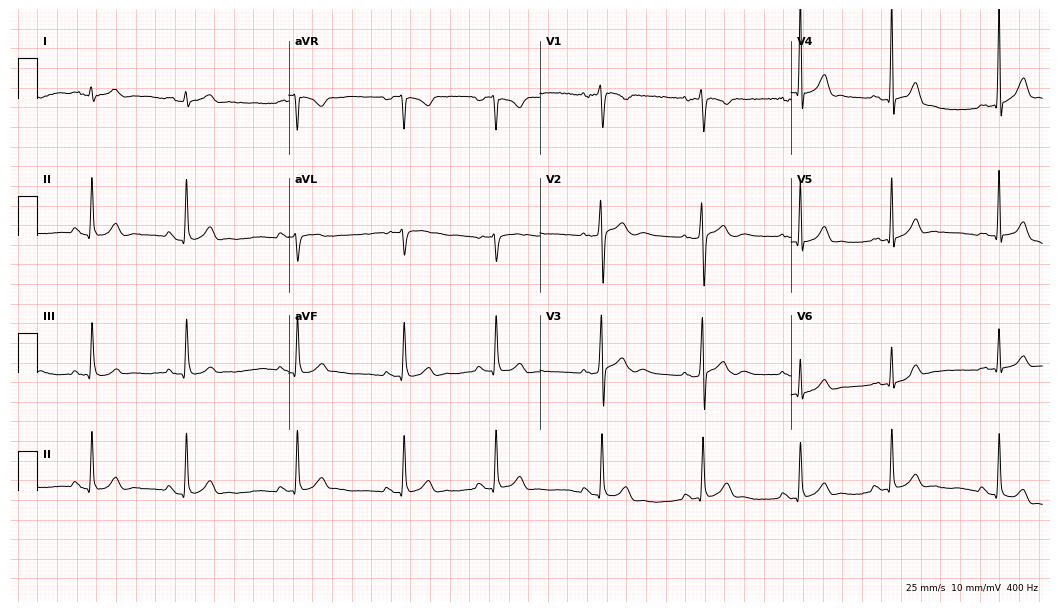
Standard 12-lead ECG recorded from a man, 23 years old (10.2-second recording at 400 Hz). Read as a normal ECG.